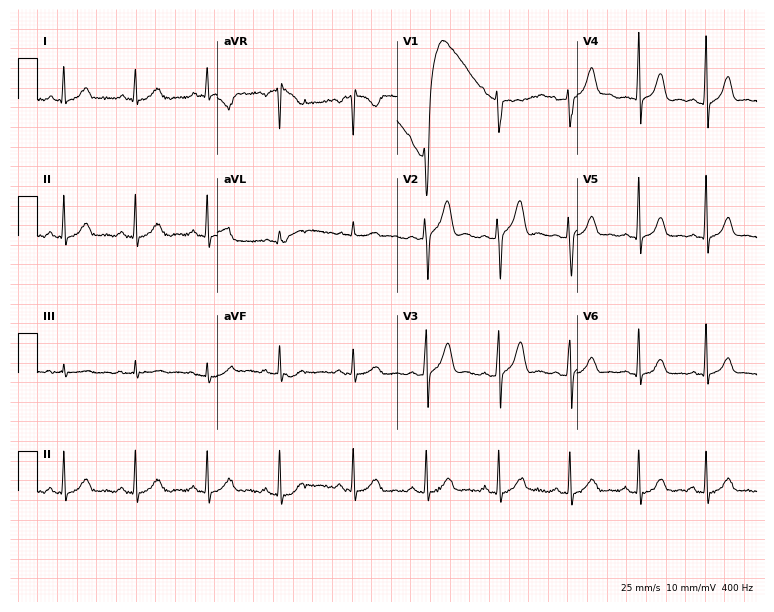
ECG — a 35-year-old male. Labelled as a normal ECG.